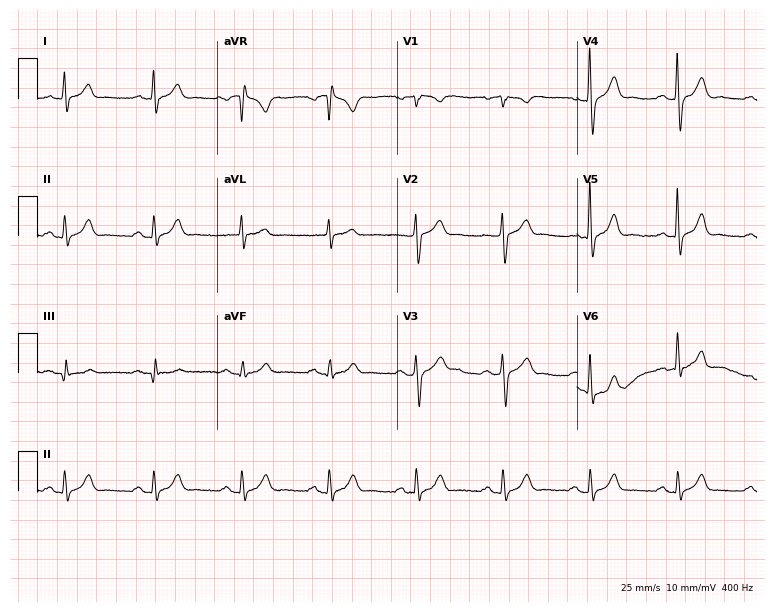
12-lead ECG from a 59-year-old male (7.3-second recording at 400 Hz). Recorded interpretation: within normal limits.